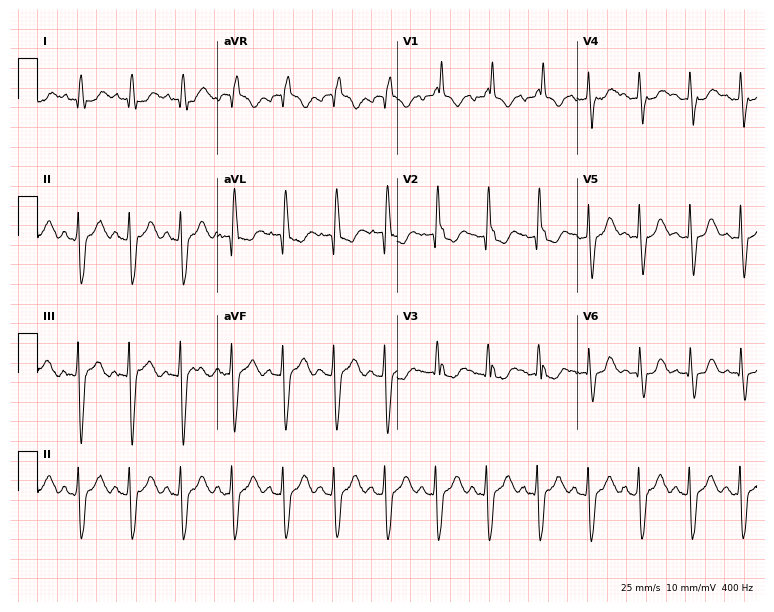
12-lead ECG from a man, 83 years old. Findings include right bundle branch block (RBBB), left bundle branch block (LBBB), sinus tachycardia (a sinus rate of 100 beats per minute or more).